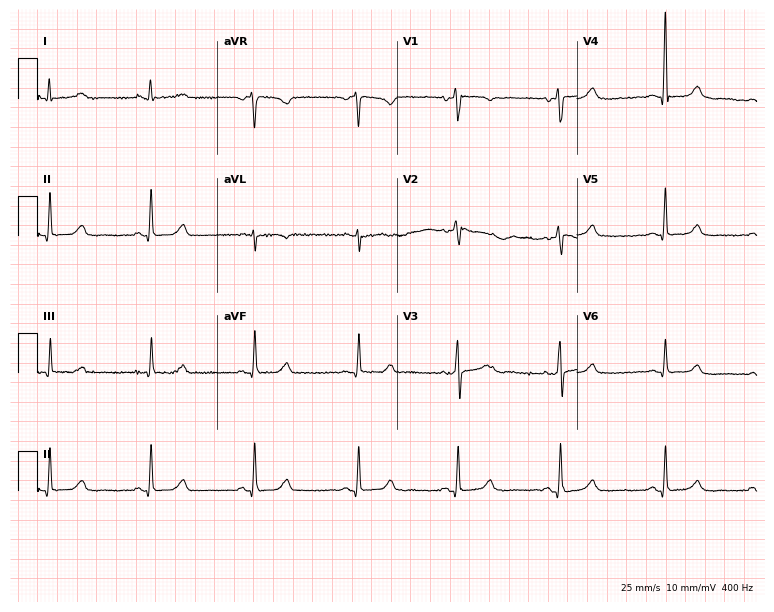
ECG (7.3-second recording at 400 Hz) — a 70-year-old female. Screened for six findings — first-degree AV block, right bundle branch block (RBBB), left bundle branch block (LBBB), sinus bradycardia, atrial fibrillation (AF), sinus tachycardia — none is recorded. Other findings, if any, are not listed.